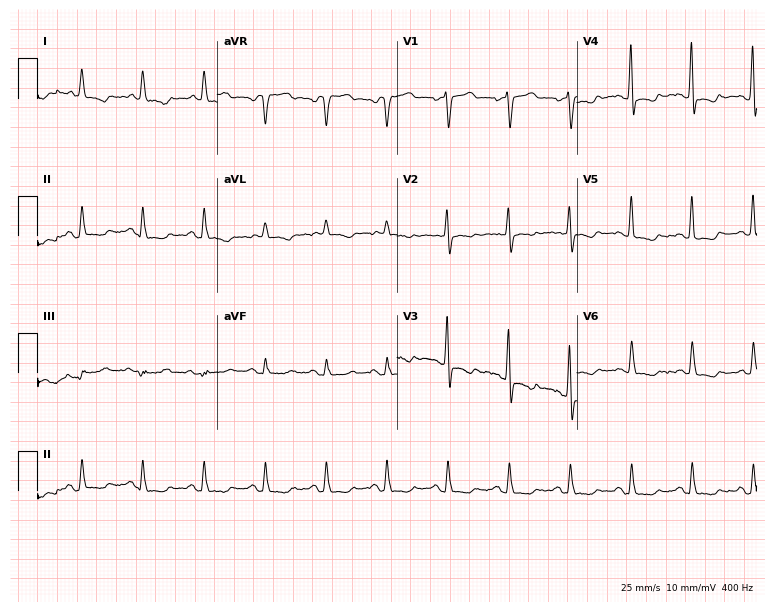
12-lead ECG from a woman, 81 years old. No first-degree AV block, right bundle branch block, left bundle branch block, sinus bradycardia, atrial fibrillation or sinus tachycardia recorded for this tracing.